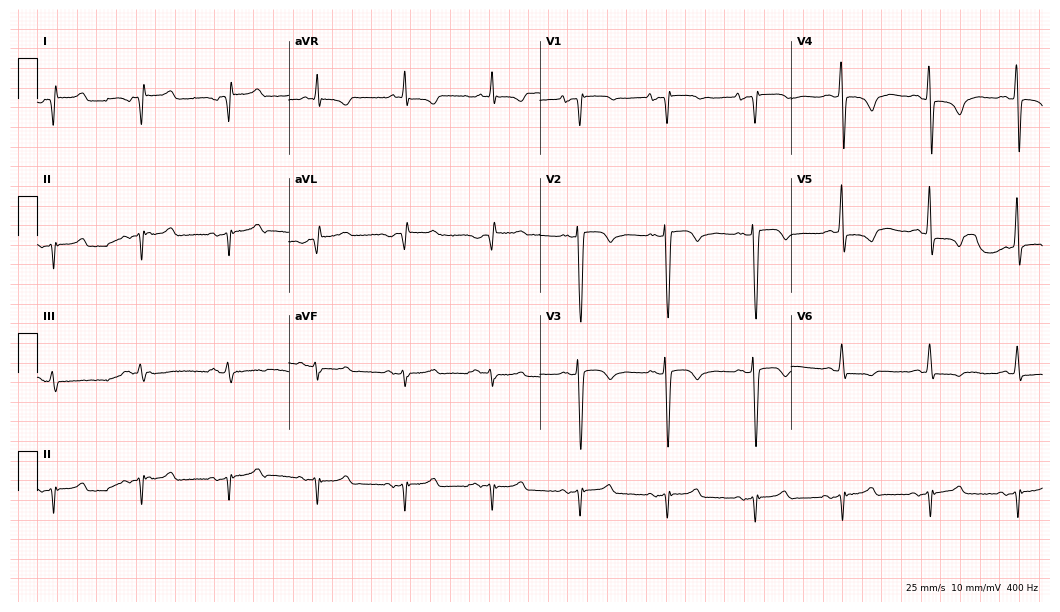
ECG — a 73-year-old man. Screened for six findings — first-degree AV block, right bundle branch block (RBBB), left bundle branch block (LBBB), sinus bradycardia, atrial fibrillation (AF), sinus tachycardia — none is recorded. Other findings, if any, are not listed.